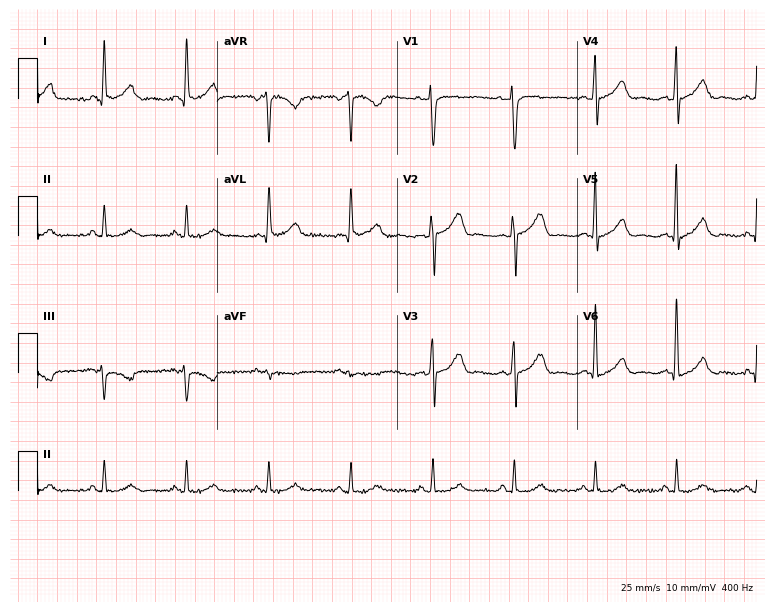
Resting 12-lead electrocardiogram. Patient: a man, 61 years old. None of these six findings is recorded: first-degree AV block, right bundle branch block, left bundle branch block, sinus bradycardia, atrial fibrillation, sinus tachycardia.